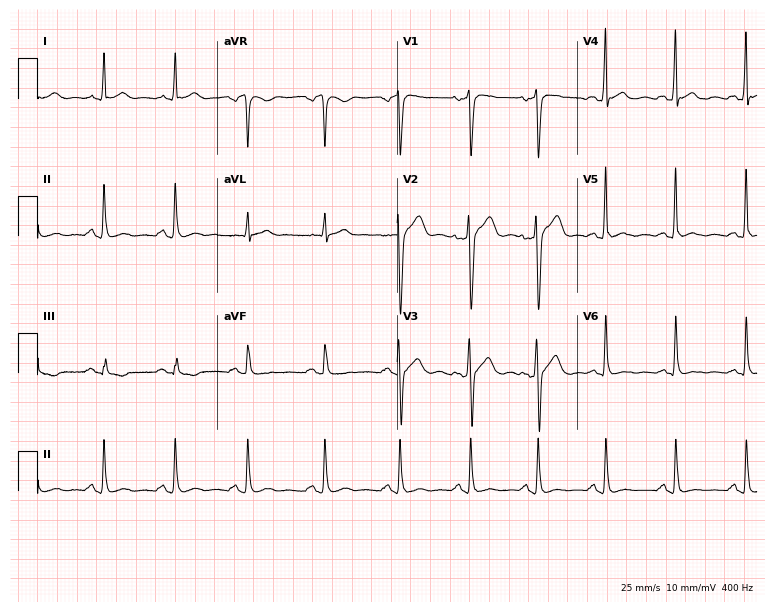
12-lead ECG from a 25-year-old man (7.3-second recording at 400 Hz). No first-degree AV block, right bundle branch block, left bundle branch block, sinus bradycardia, atrial fibrillation or sinus tachycardia recorded for this tracing.